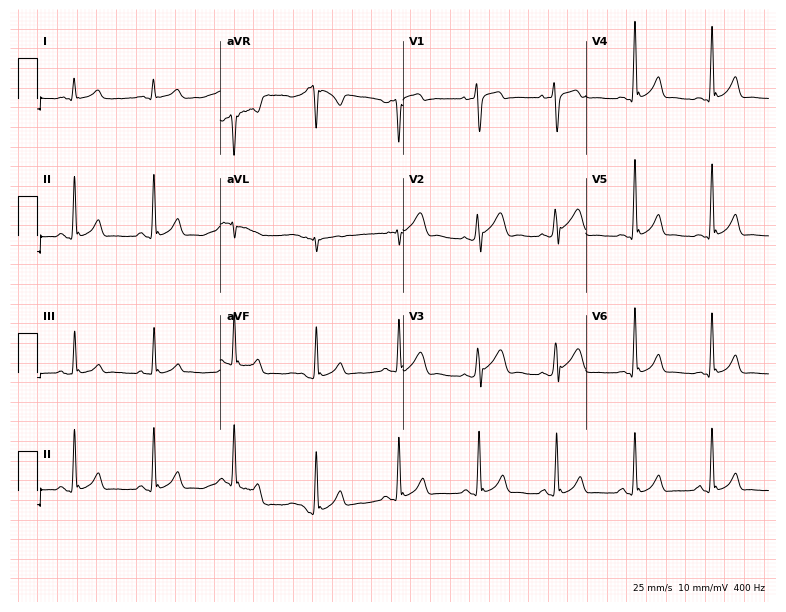
Electrocardiogram (7.5-second recording at 400 Hz), a man, 24 years old. Overall reading on record: normal ECG.